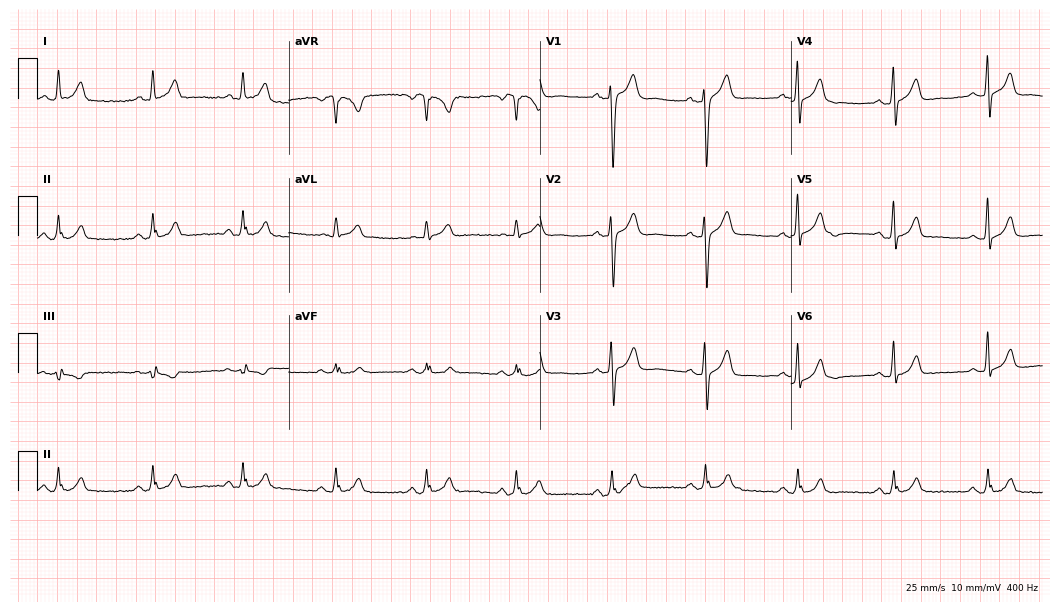
ECG (10.2-second recording at 400 Hz) — a 42-year-old male. Screened for six findings — first-degree AV block, right bundle branch block (RBBB), left bundle branch block (LBBB), sinus bradycardia, atrial fibrillation (AF), sinus tachycardia — none is recorded.